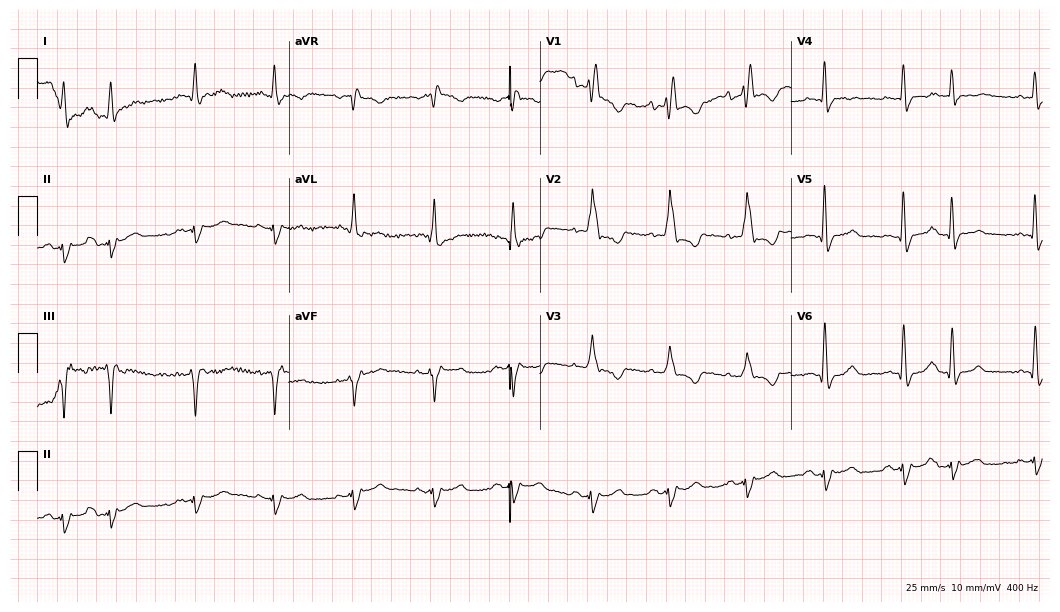
12-lead ECG from a woman, 63 years old. No first-degree AV block, right bundle branch block, left bundle branch block, sinus bradycardia, atrial fibrillation or sinus tachycardia recorded for this tracing.